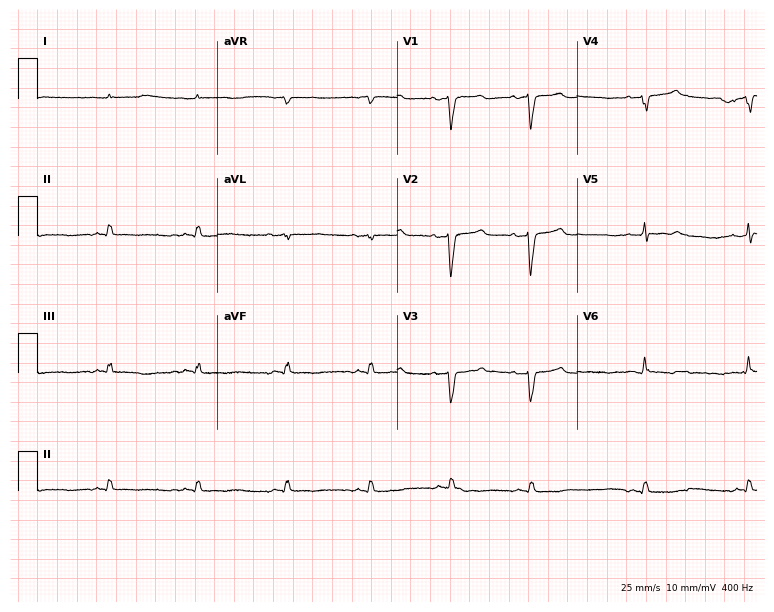
Electrocardiogram (7.3-second recording at 400 Hz), a female patient, 79 years old. Of the six screened findings (first-degree AV block, right bundle branch block (RBBB), left bundle branch block (LBBB), sinus bradycardia, atrial fibrillation (AF), sinus tachycardia), none is recorded.